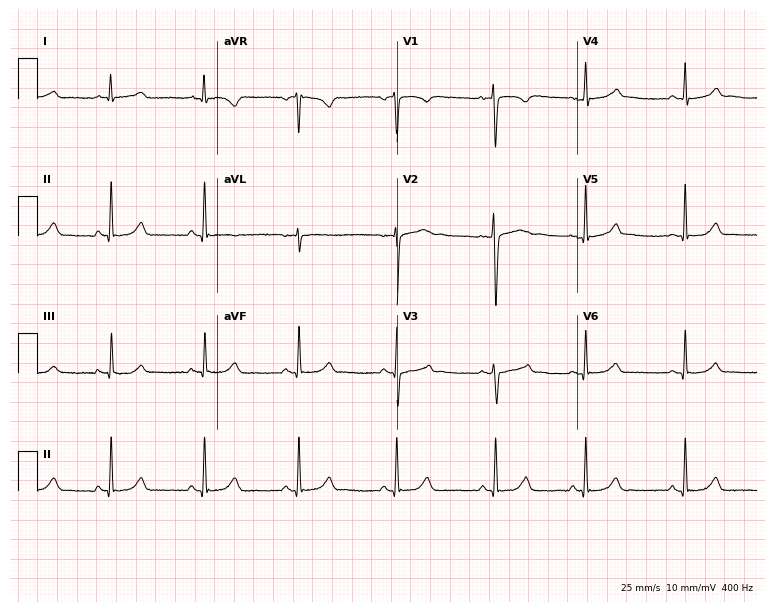
Standard 12-lead ECG recorded from a woman, 25 years old (7.3-second recording at 400 Hz). None of these six findings is recorded: first-degree AV block, right bundle branch block, left bundle branch block, sinus bradycardia, atrial fibrillation, sinus tachycardia.